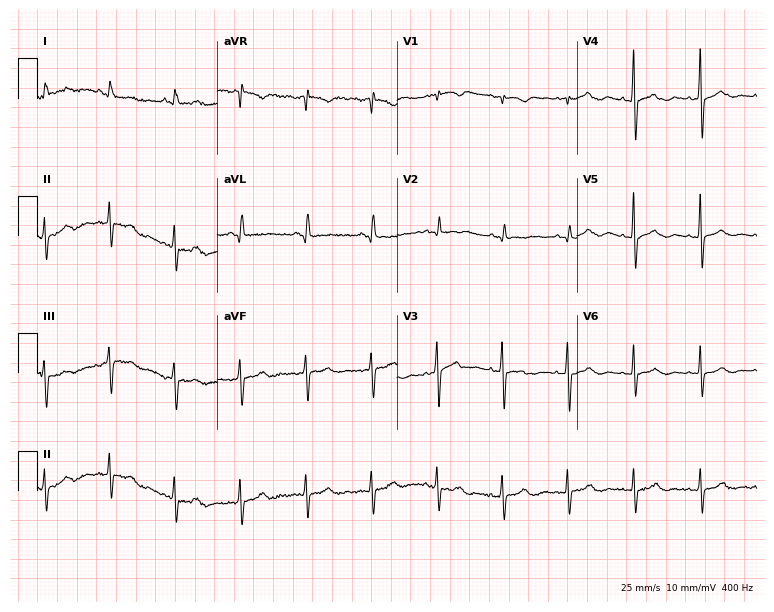
Resting 12-lead electrocardiogram. Patient: a 72-year-old female. Read as a normal ECG.